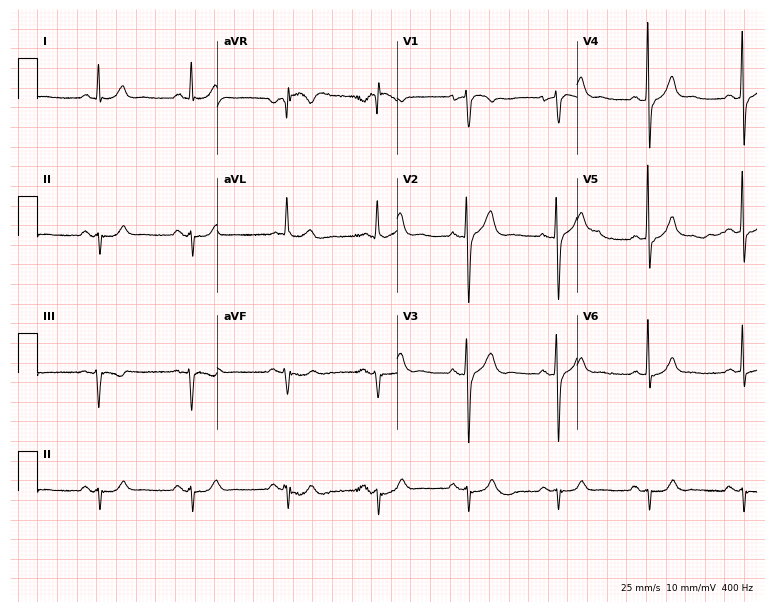
ECG — a 66-year-old man. Screened for six findings — first-degree AV block, right bundle branch block, left bundle branch block, sinus bradycardia, atrial fibrillation, sinus tachycardia — none is recorded. Only these six findings were labelled.